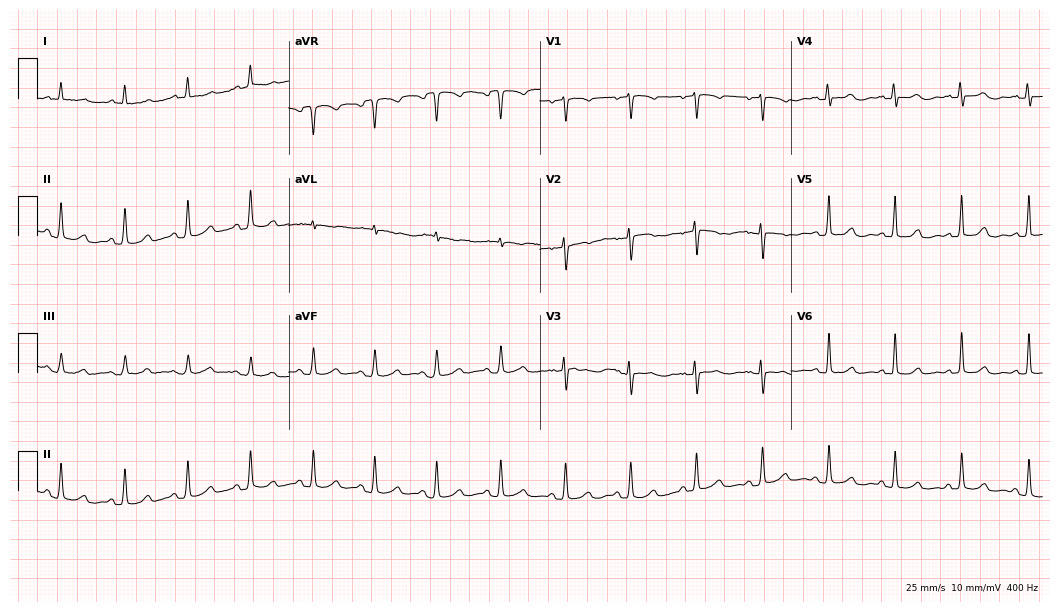
12-lead ECG from a woman, 51 years old (10.2-second recording at 400 Hz). Recorded interpretation: within normal limits.